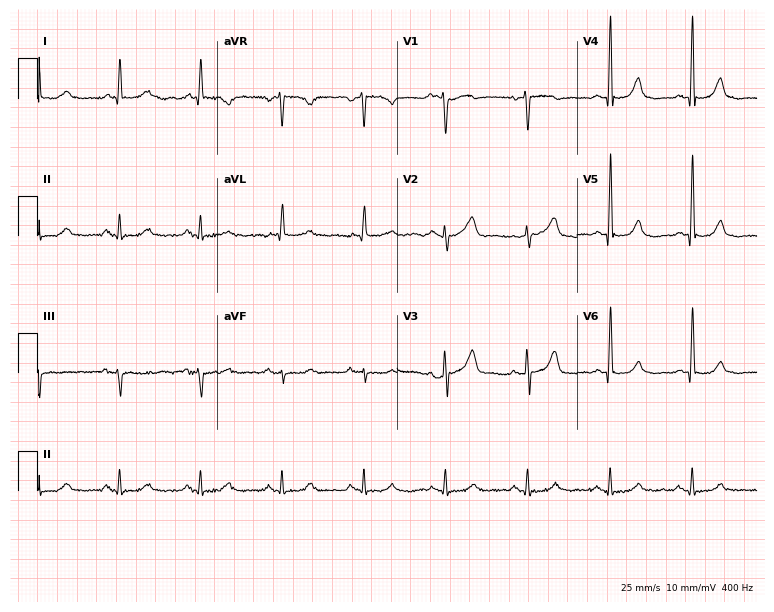
12-lead ECG from a male patient, 80 years old. Labelled as a normal ECG.